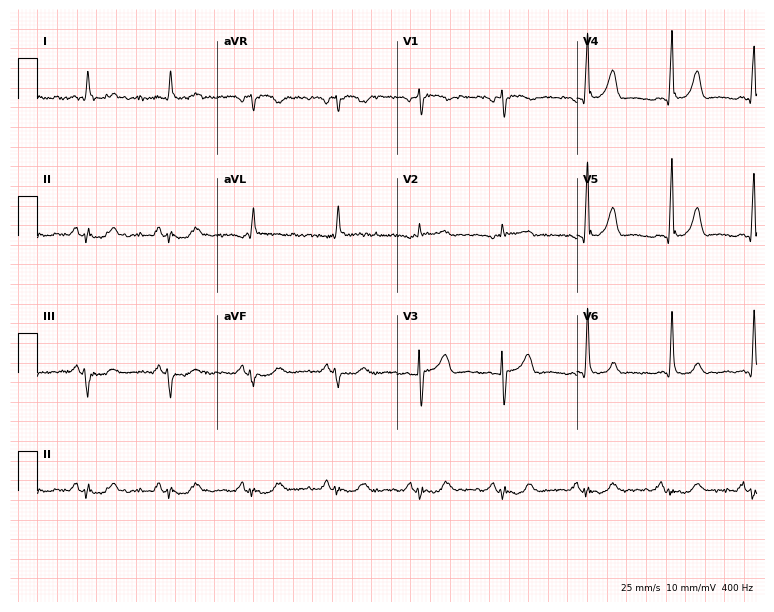
ECG — a man, 72 years old. Labelled as a normal ECG.